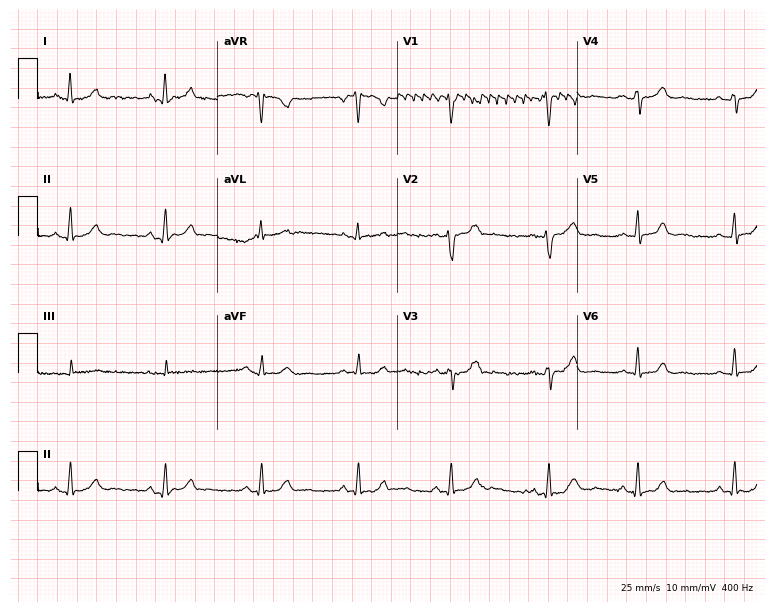
Resting 12-lead electrocardiogram. Patient: a woman, 36 years old. None of these six findings is recorded: first-degree AV block, right bundle branch block (RBBB), left bundle branch block (LBBB), sinus bradycardia, atrial fibrillation (AF), sinus tachycardia. Other findings, if any, are not listed.